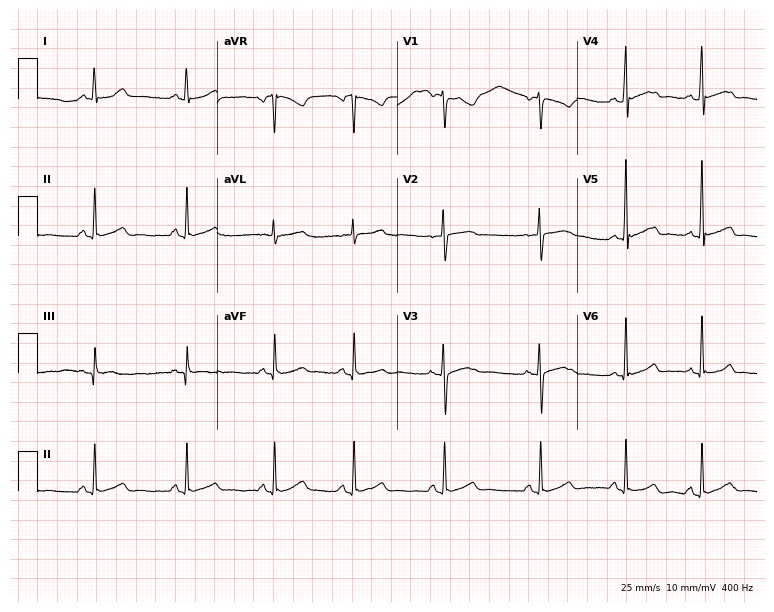
Electrocardiogram, a 30-year-old woman. Overall reading on record: normal ECG.